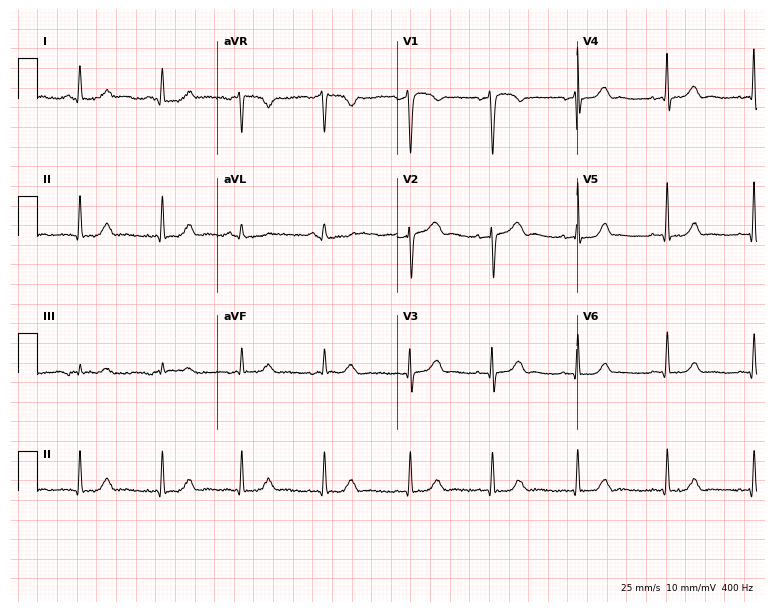
ECG — a woman, 36 years old. Screened for six findings — first-degree AV block, right bundle branch block (RBBB), left bundle branch block (LBBB), sinus bradycardia, atrial fibrillation (AF), sinus tachycardia — none is recorded. Findings outside these six are not listed.